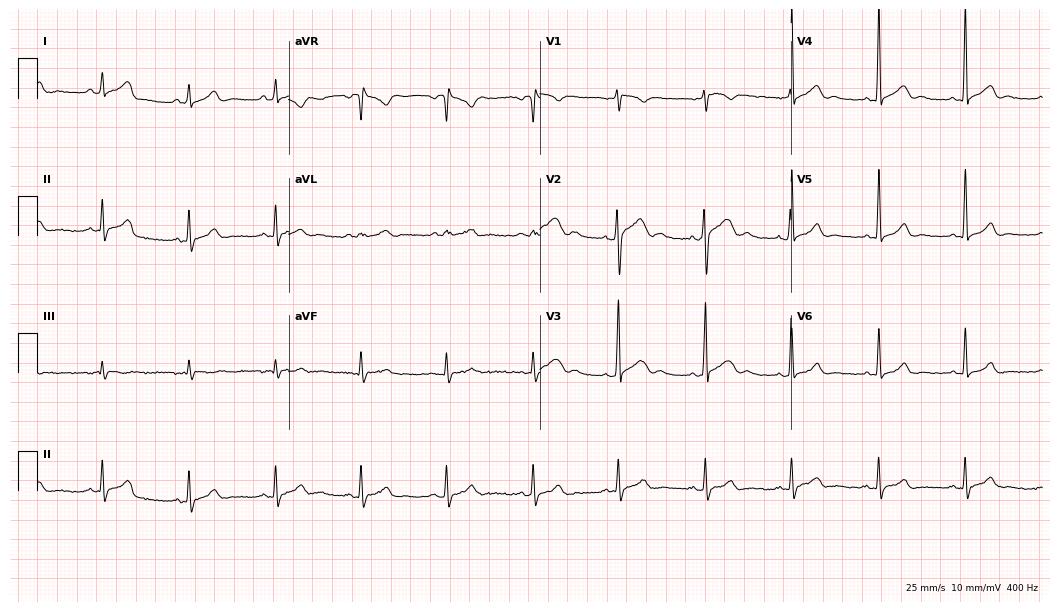
Standard 12-lead ECG recorded from a male, 25 years old. Read as a normal ECG.